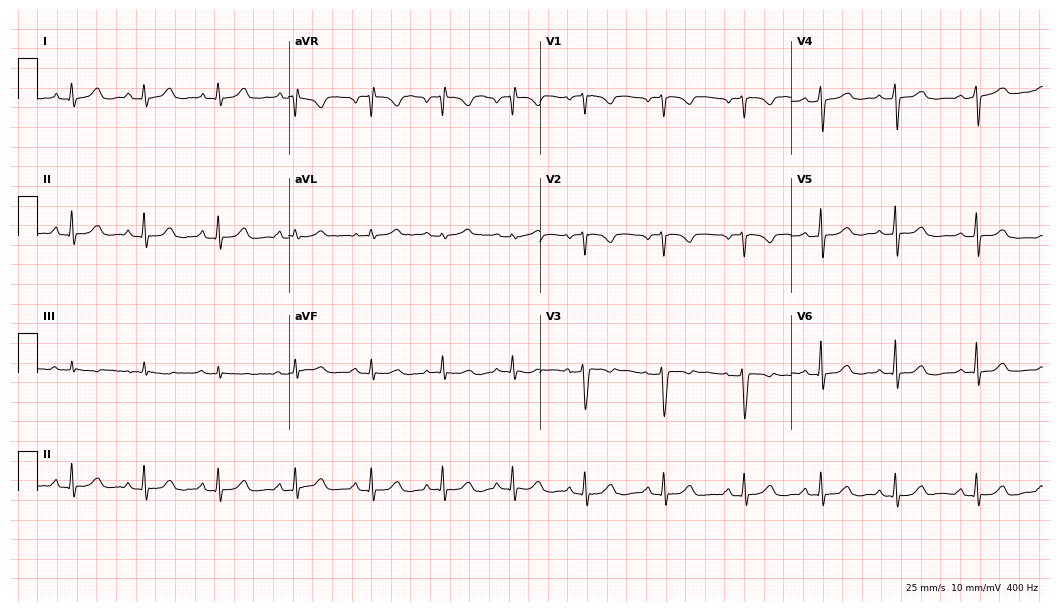
Electrocardiogram (10.2-second recording at 400 Hz), a female, 40 years old. Of the six screened findings (first-degree AV block, right bundle branch block (RBBB), left bundle branch block (LBBB), sinus bradycardia, atrial fibrillation (AF), sinus tachycardia), none is recorded.